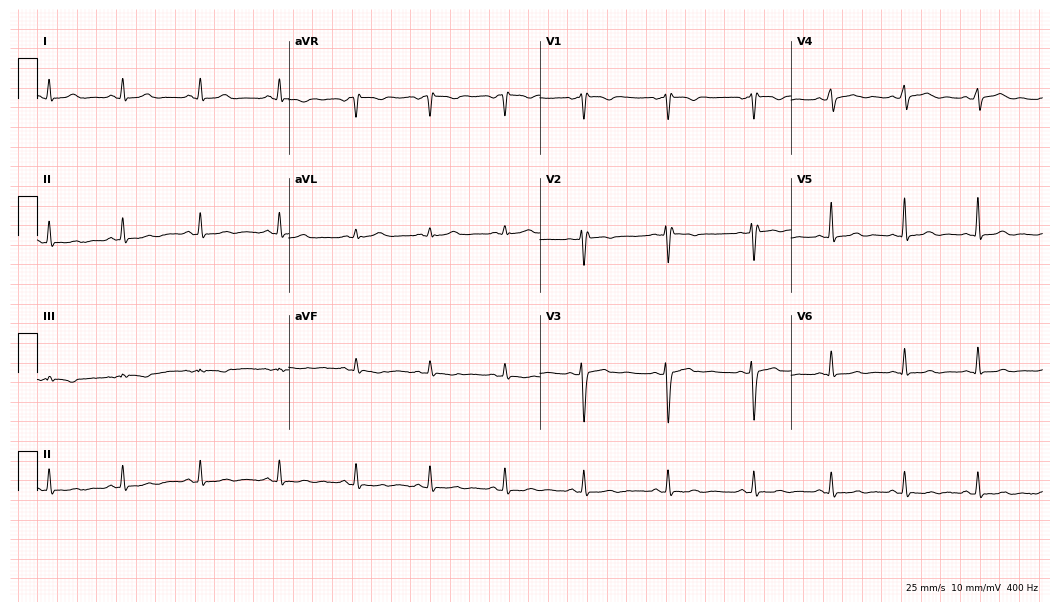
Electrocardiogram, a woman, 30 years old. Of the six screened findings (first-degree AV block, right bundle branch block, left bundle branch block, sinus bradycardia, atrial fibrillation, sinus tachycardia), none is recorded.